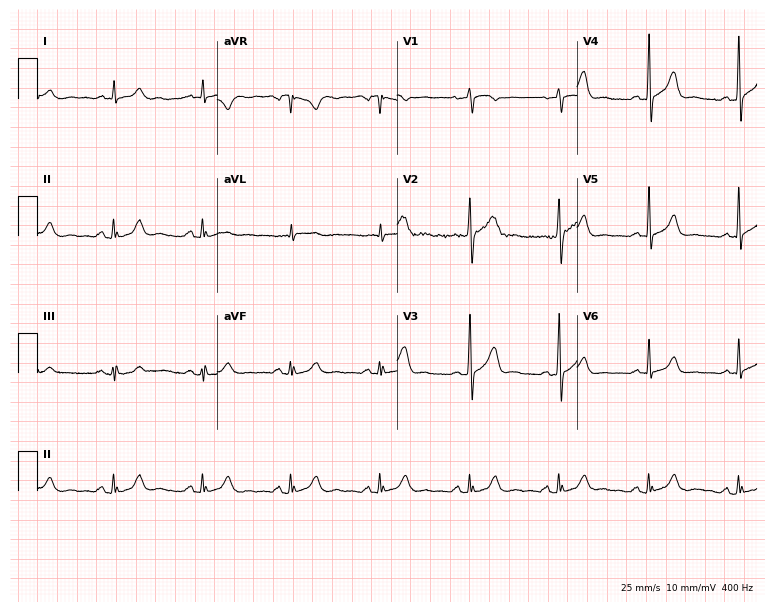
Electrocardiogram, a 69-year-old man. Overall reading on record: normal ECG.